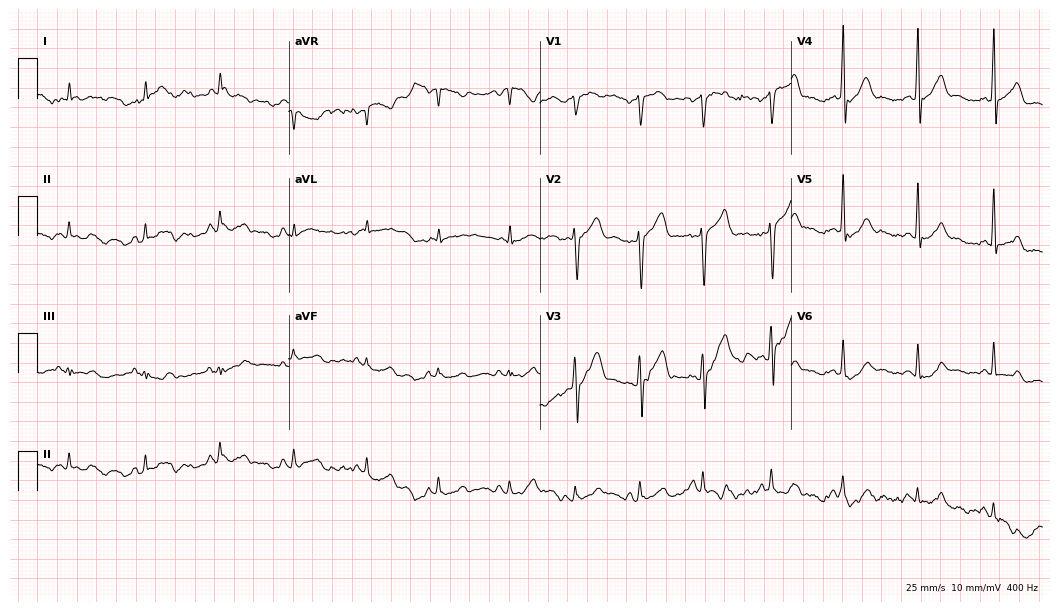
12-lead ECG from a man, 50 years old. No first-degree AV block, right bundle branch block (RBBB), left bundle branch block (LBBB), sinus bradycardia, atrial fibrillation (AF) or sinus tachycardia recorded for this tracing. Only these six findings were labelled.